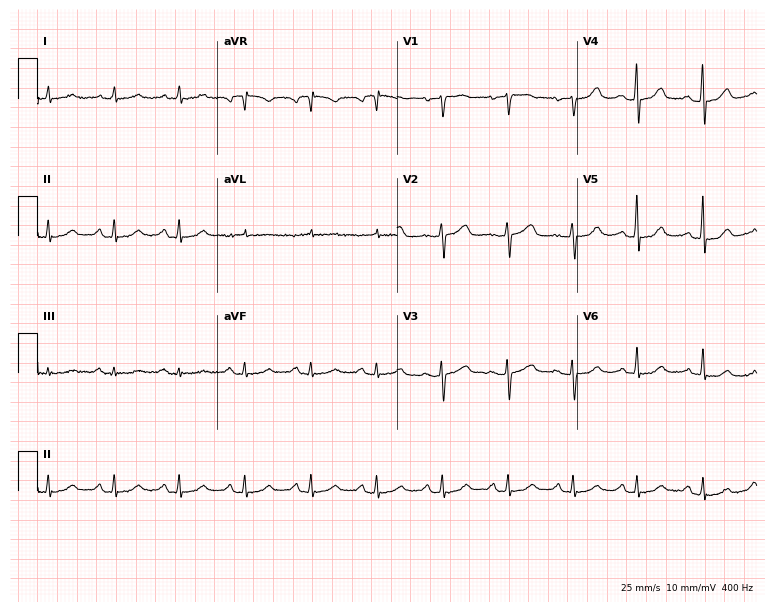
12-lead ECG from a 59-year-old female (7.3-second recording at 400 Hz). No first-degree AV block, right bundle branch block, left bundle branch block, sinus bradycardia, atrial fibrillation or sinus tachycardia recorded for this tracing. Findings outside these six are not listed.